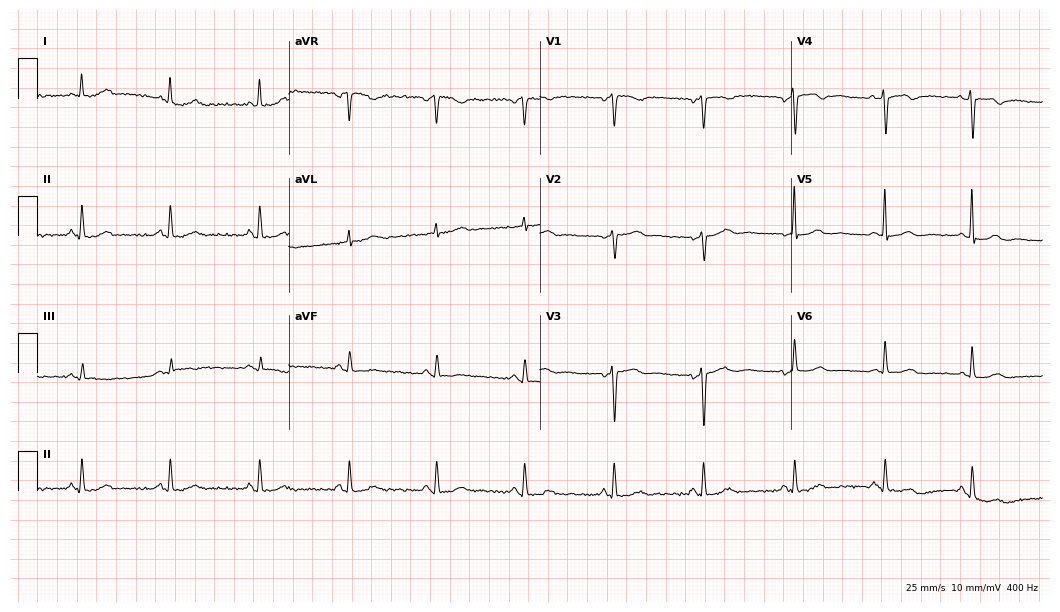
12-lead ECG from a 48-year-old female patient. Recorded interpretation: within normal limits.